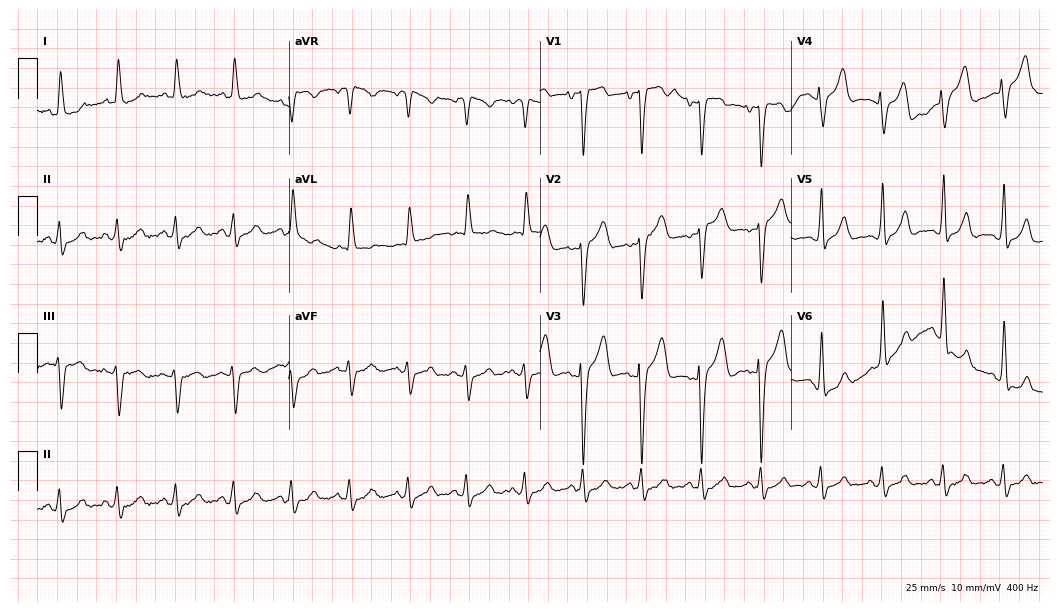
Electrocardiogram, a male patient, 81 years old. Of the six screened findings (first-degree AV block, right bundle branch block, left bundle branch block, sinus bradycardia, atrial fibrillation, sinus tachycardia), none is recorded.